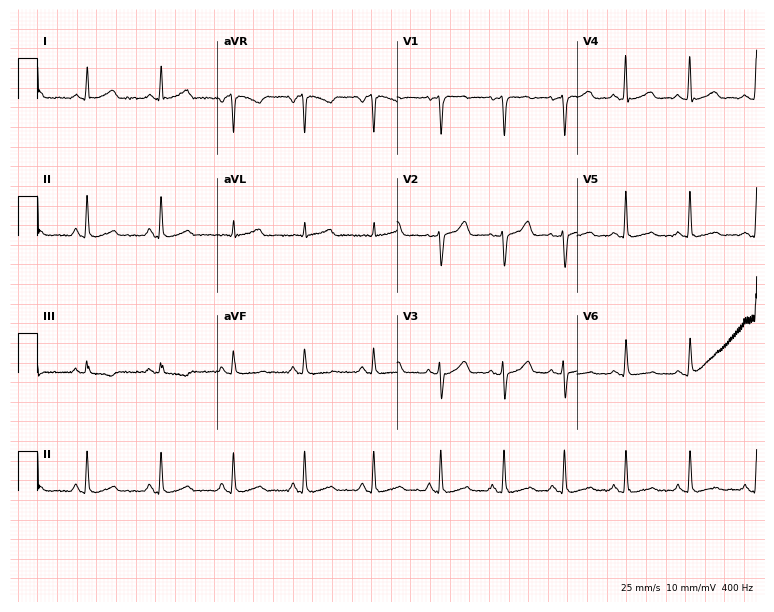
12-lead ECG from a 48-year-old woman. Screened for six findings — first-degree AV block, right bundle branch block (RBBB), left bundle branch block (LBBB), sinus bradycardia, atrial fibrillation (AF), sinus tachycardia — none is recorded.